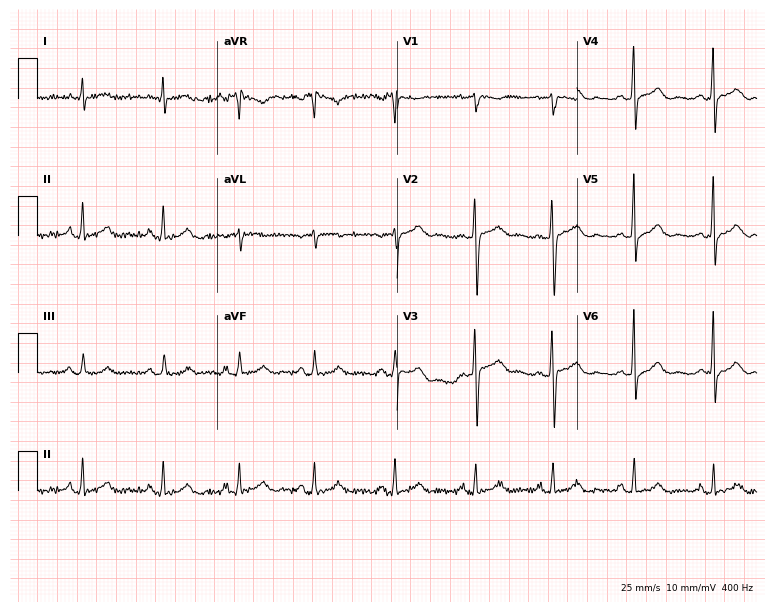
Standard 12-lead ECG recorded from a female, 28 years old (7.3-second recording at 400 Hz). Read as a normal ECG.